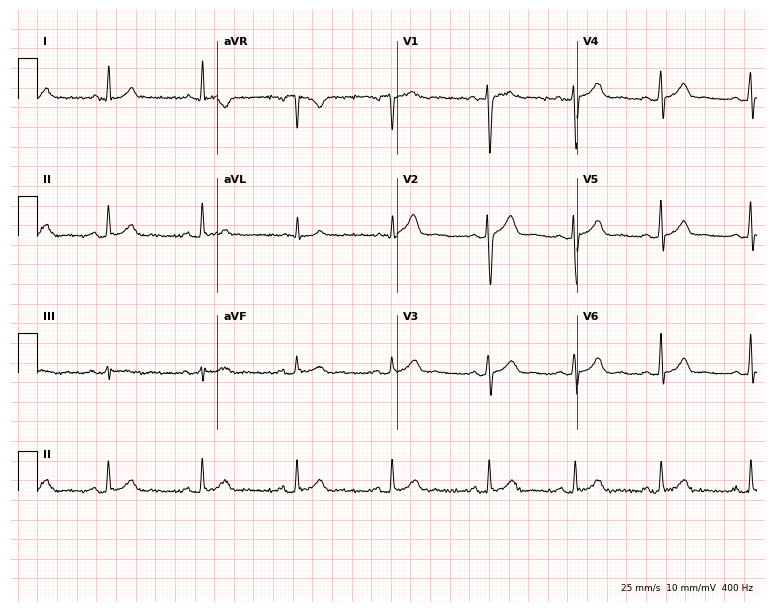
Electrocardiogram, a male, 18 years old. Overall reading on record: normal ECG.